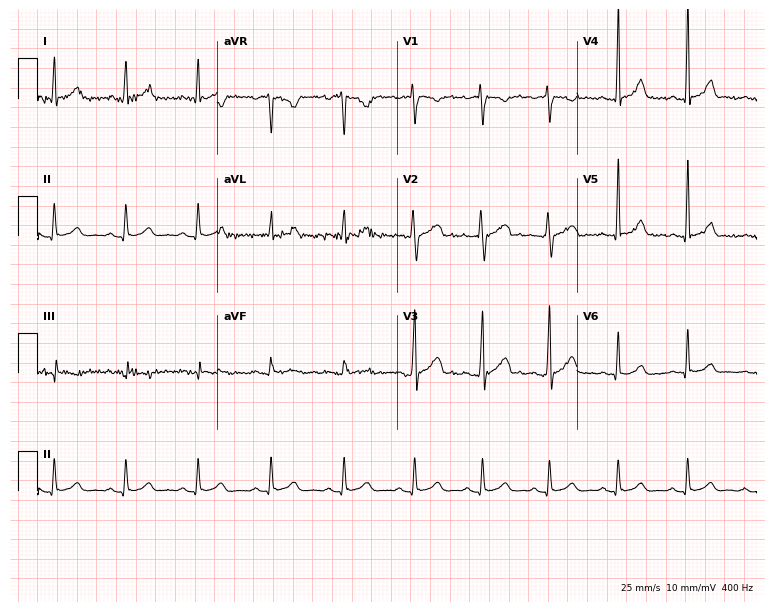
12-lead ECG from a male patient, 45 years old. Labelled as a normal ECG.